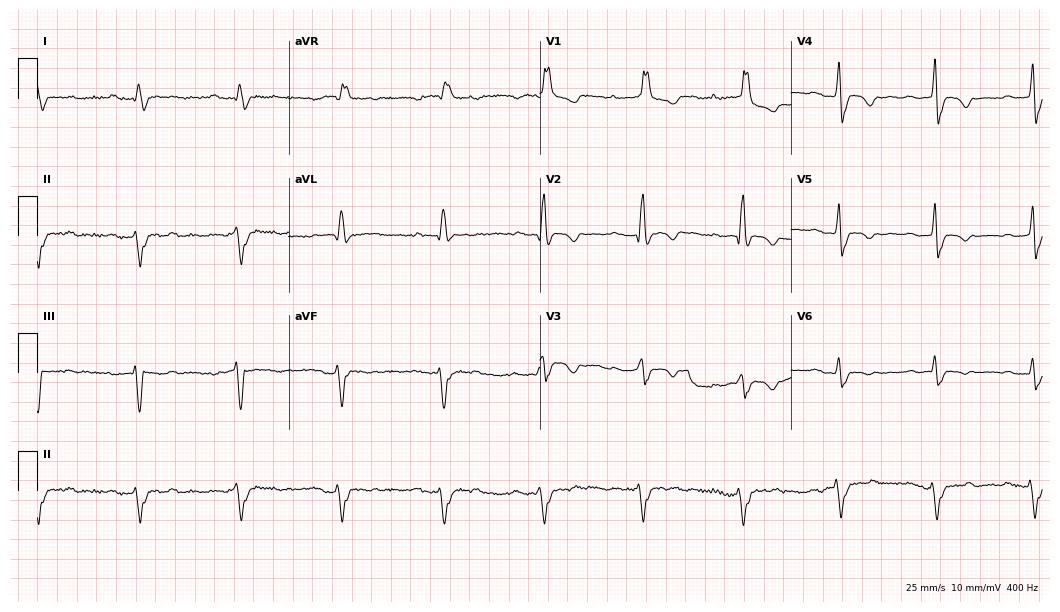
Standard 12-lead ECG recorded from a female patient, 51 years old (10.2-second recording at 400 Hz). The tracing shows right bundle branch block (RBBB).